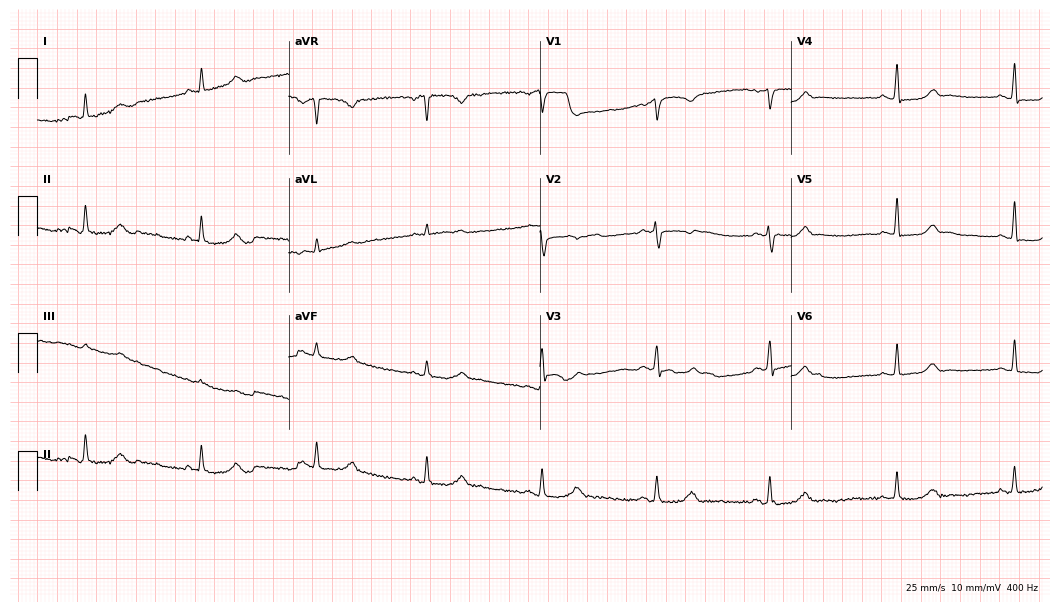
ECG (10.2-second recording at 400 Hz) — a 61-year-old woman. Screened for six findings — first-degree AV block, right bundle branch block, left bundle branch block, sinus bradycardia, atrial fibrillation, sinus tachycardia — none is recorded.